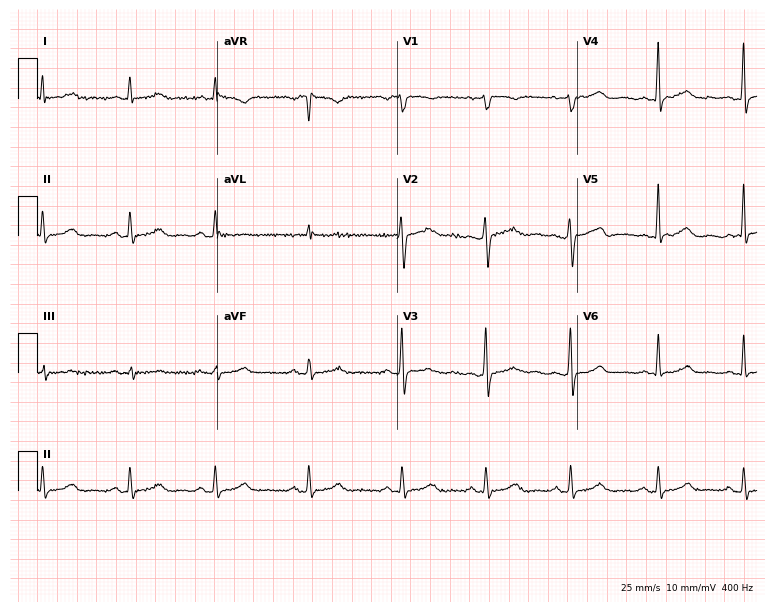
Resting 12-lead electrocardiogram. Patient: a female, 59 years old. None of these six findings is recorded: first-degree AV block, right bundle branch block, left bundle branch block, sinus bradycardia, atrial fibrillation, sinus tachycardia. Only these six findings were labelled.